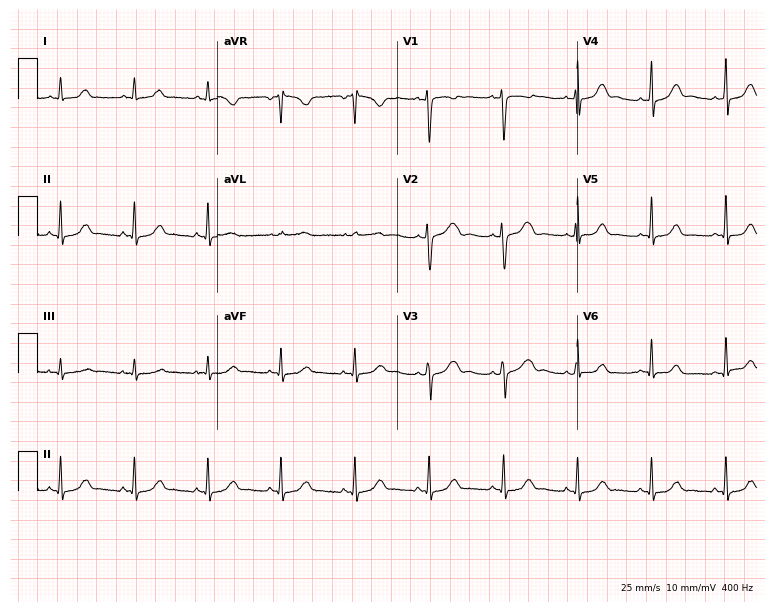
Standard 12-lead ECG recorded from a 32-year-old female patient. Read as a normal ECG.